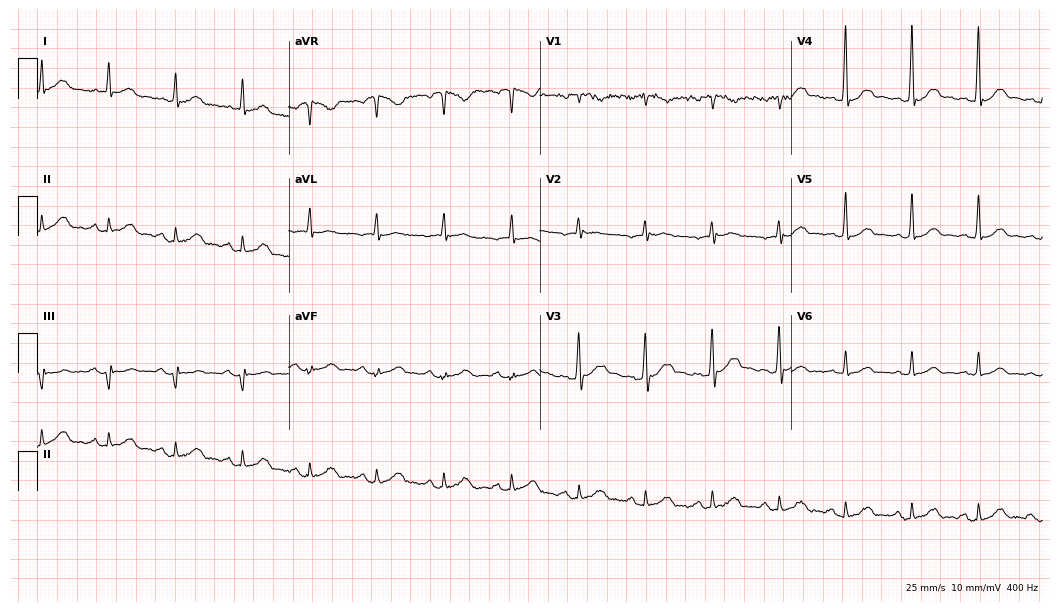
Electrocardiogram, a 53-year-old male patient. Overall reading on record: normal ECG.